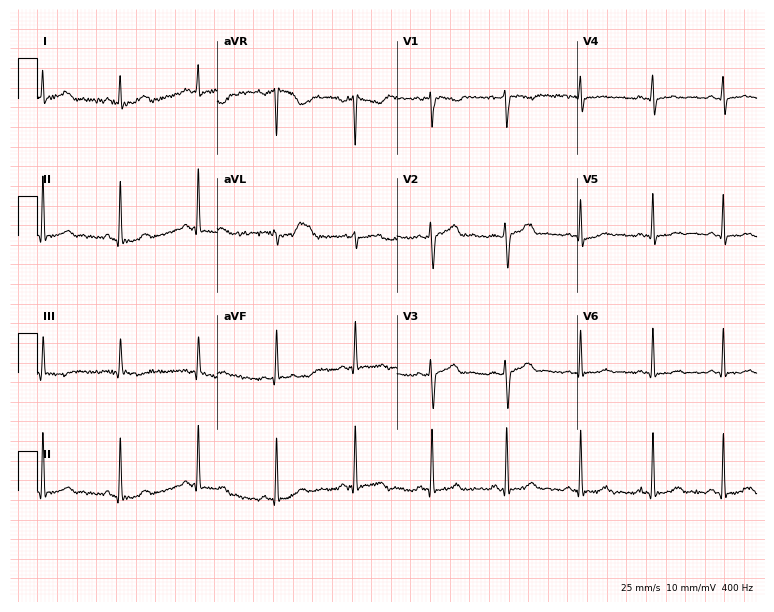
Electrocardiogram (7.3-second recording at 400 Hz), a female, 33 years old. Of the six screened findings (first-degree AV block, right bundle branch block, left bundle branch block, sinus bradycardia, atrial fibrillation, sinus tachycardia), none is recorded. Other findings, if any, are not listed.